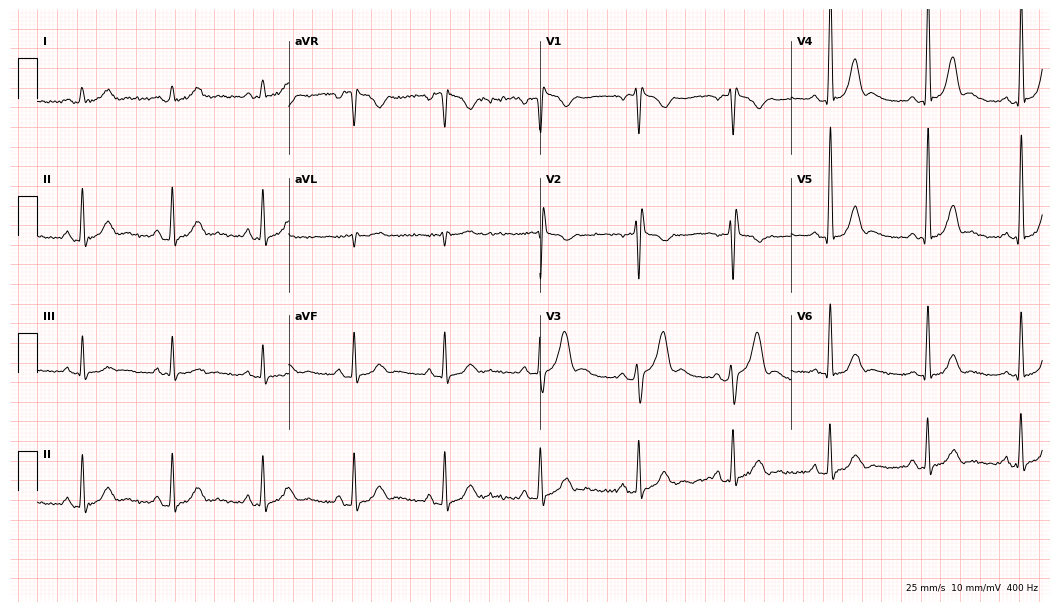
12-lead ECG from a male, 35 years old. No first-degree AV block, right bundle branch block (RBBB), left bundle branch block (LBBB), sinus bradycardia, atrial fibrillation (AF) or sinus tachycardia recorded for this tracing. Other findings, if any, are not listed.